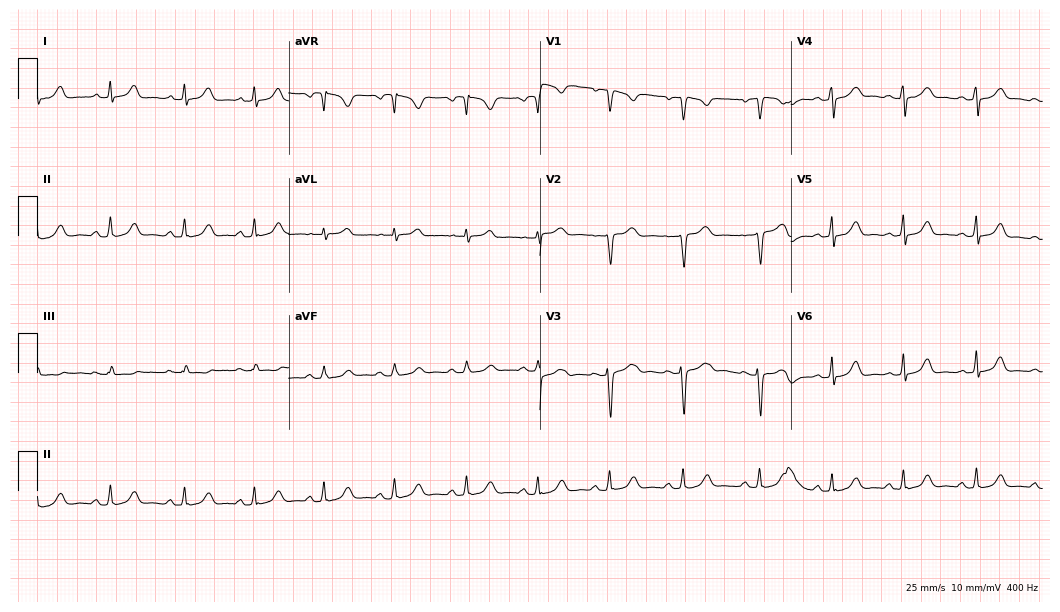
Resting 12-lead electrocardiogram. Patient: a 23-year-old female. Read as a normal ECG.